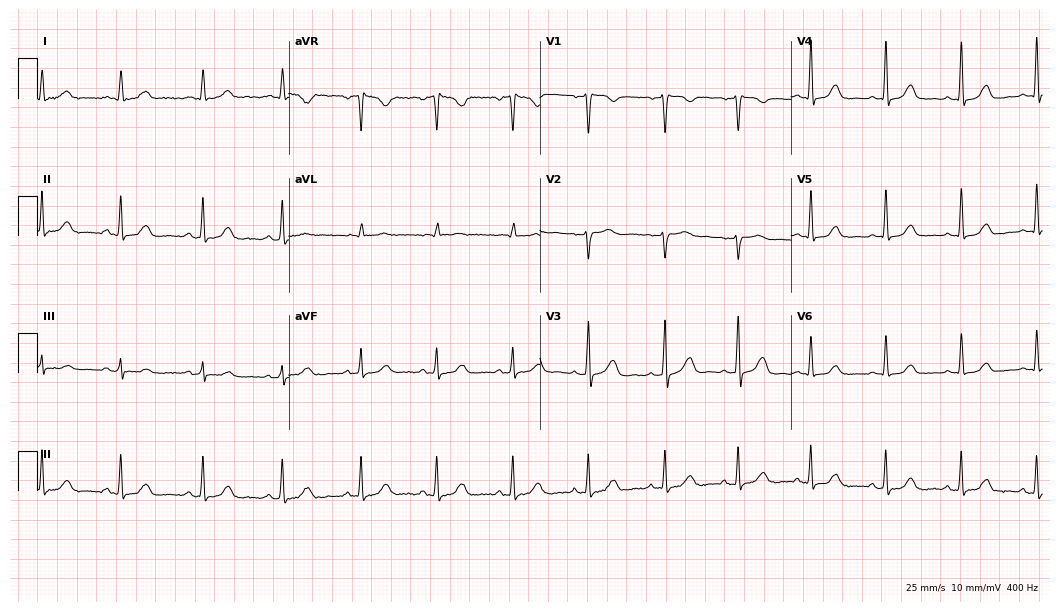
12-lead ECG (10.2-second recording at 400 Hz) from a 42-year-old female patient. Labelled as a normal ECG.